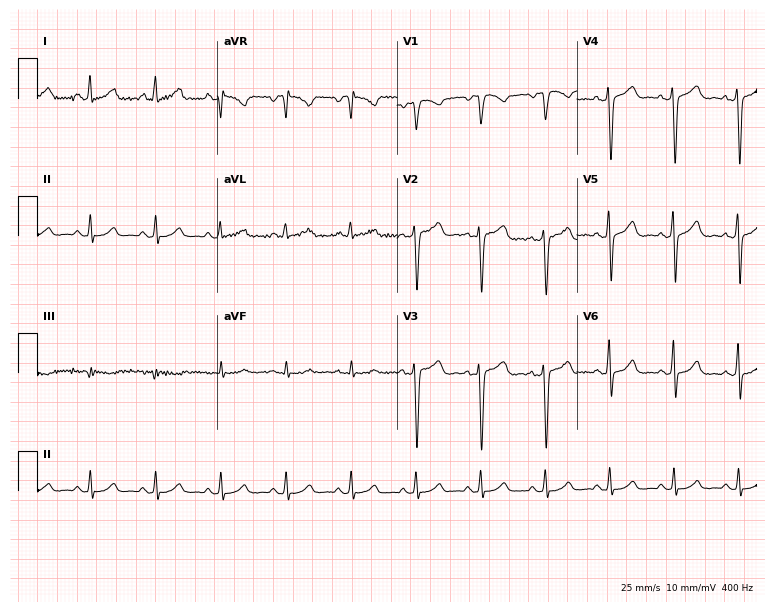
ECG — a 51-year-old female. Screened for six findings — first-degree AV block, right bundle branch block, left bundle branch block, sinus bradycardia, atrial fibrillation, sinus tachycardia — none is recorded. Other findings, if any, are not listed.